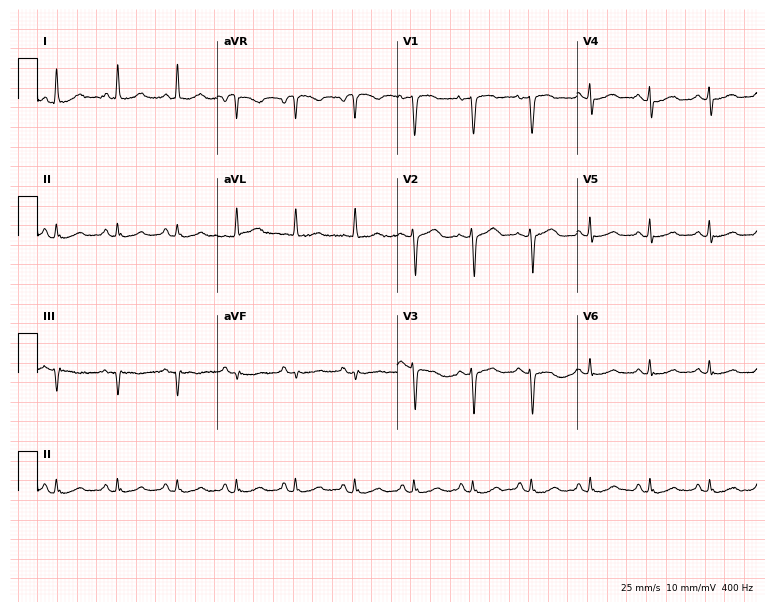
Standard 12-lead ECG recorded from a female, 69 years old. None of these six findings is recorded: first-degree AV block, right bundle branch block, left bundle branch block, sinus bradycardia, atrial fibrillation, sinus tachycardia.